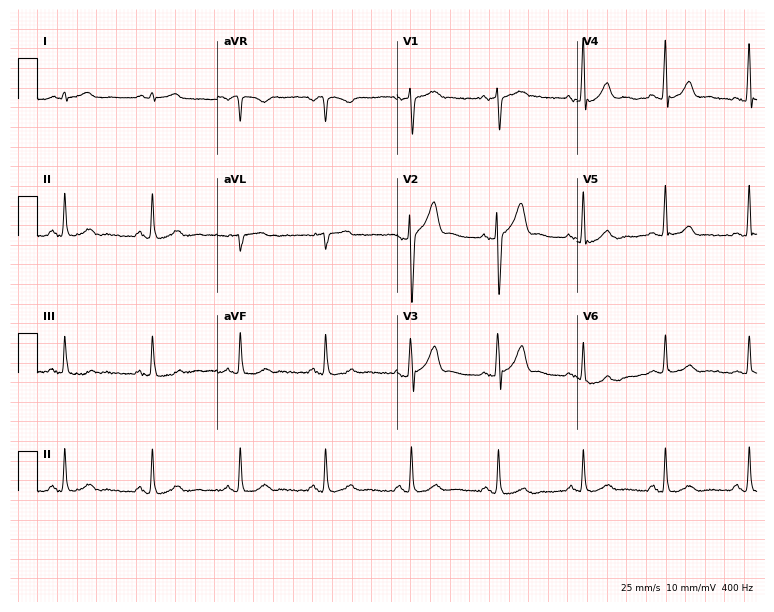
12-lead ECG from a man, 39 years old. Recorded interpretation: within normal limits.